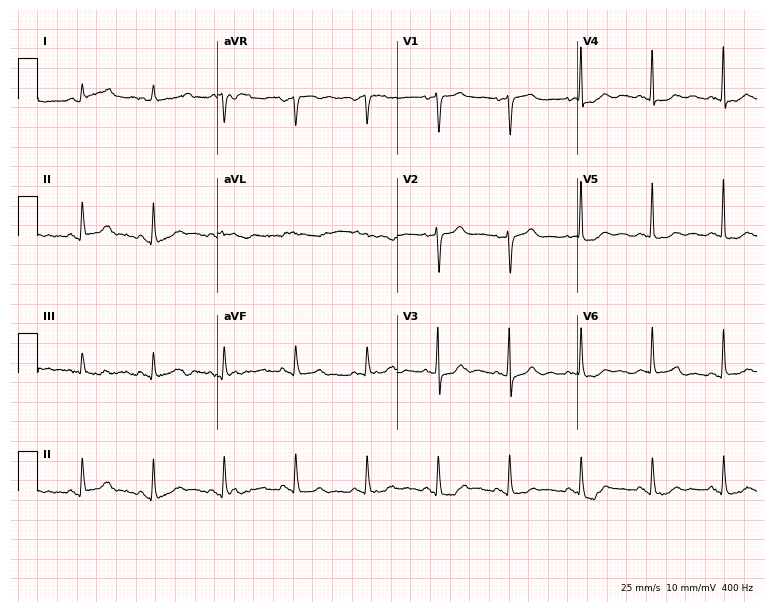
Electrocardiogram, a female patient, 77 years old. Of the six screened findings (first-degree AV block, right bundle branch block, left bundle branch block, sinus bradycardia, atrial fibrillation, sinus tachycardia), none is recorded. Other findings, if any, are not listed.